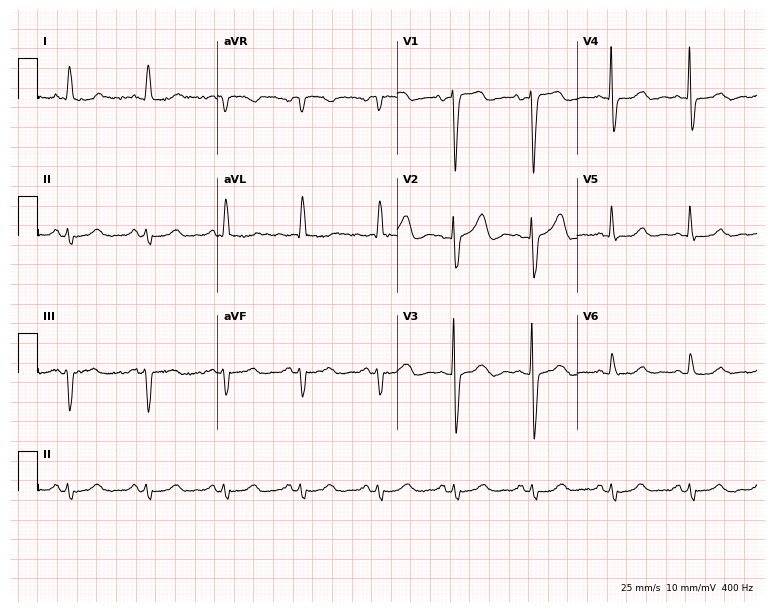
Standard 12-lead ECG recorded from a woman, 79 years old (7.3-second recording at 400 Hz). None of these six findings is recorded: first-degree AV block, right bundle branch block, left bundle branch block, sinus bradycardia, atrial fibrillation, sinus tachycardia. Other findings, if any, are not listed.